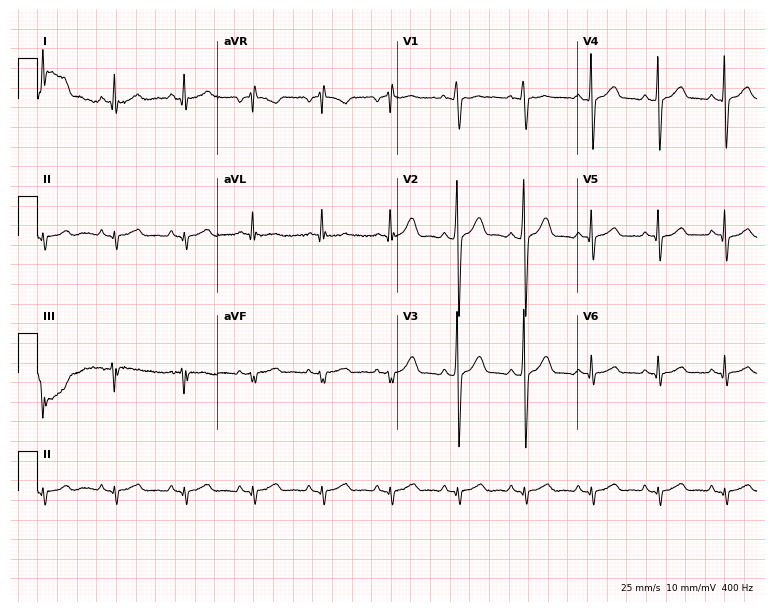
Standard 12-lead ECG recorded from a 31-year-old male patient. None of these six findings is recorded: first-degree AV block, right bundle branch block, left bundle branch block, sinus bradycardia, atrial fibrillation, sinus tachycardia.